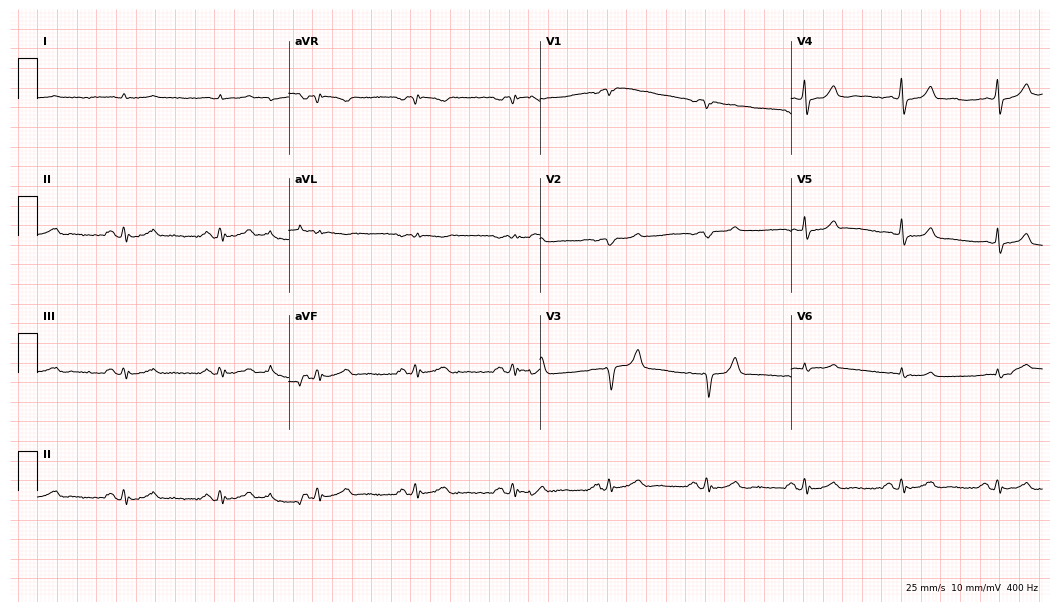
Resting 12-lead electrocardiogram (10.2-second recording at 400 Hz). Patient: a 75-year-old male. None of these six findings is recorded: first-degree AV block, right bundle branch block (RBBB), left bundle branch block (LBBB), sinus bradycardia, atrial fibrillation (AF), sinus tachycardia.